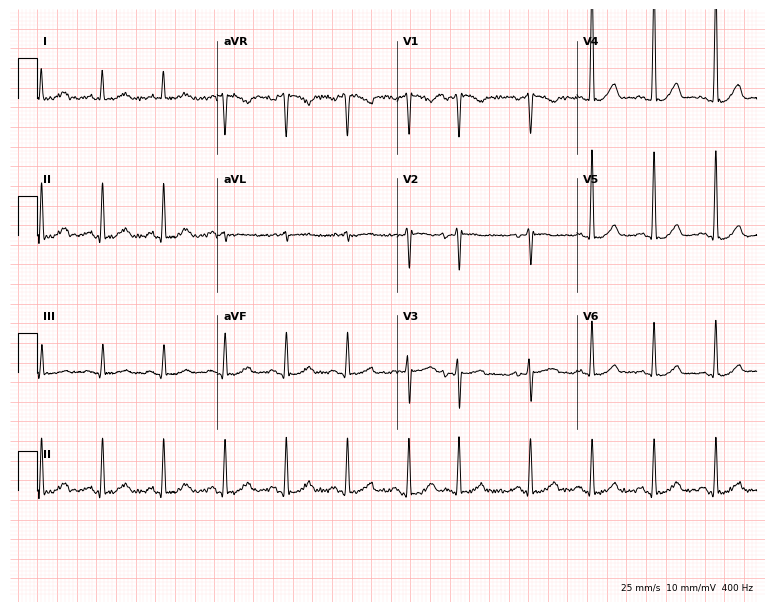
12-lead ECG from a man, 78 years old. No first-degree AV block, right bundle branch block, left bundle branch block, sinus bradycardia, atrial fibrillation or sinus tachycardia recorded for this tracing. Only these six findings were labelled.